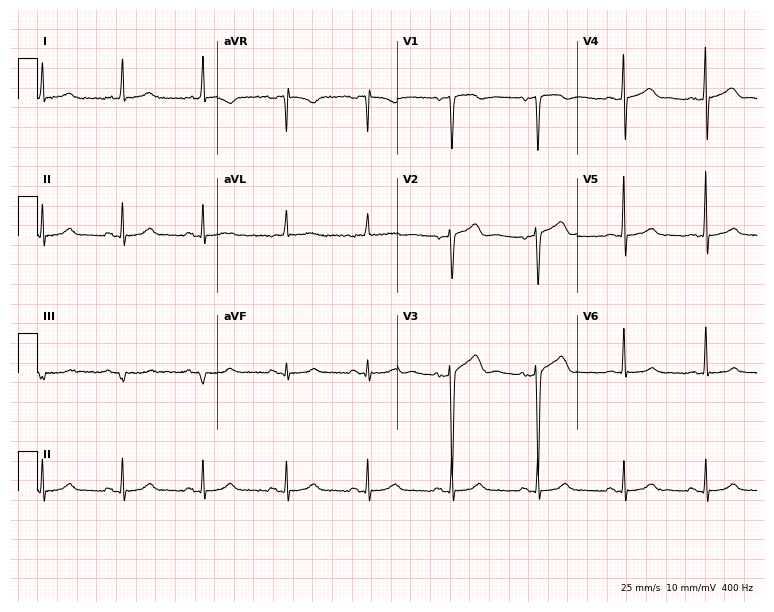
Electrocardiogram, a woman, 40 years old. Overall reading on record: normal ECG.